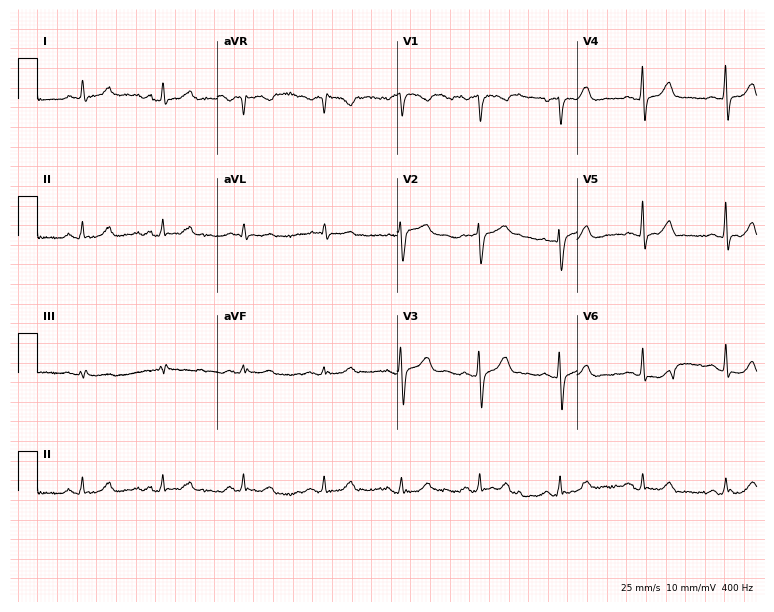
Electrocardiogram (7.3-second recording at 400 Hz), a 59-year-old woman. Overall reading on record: normal ECG.